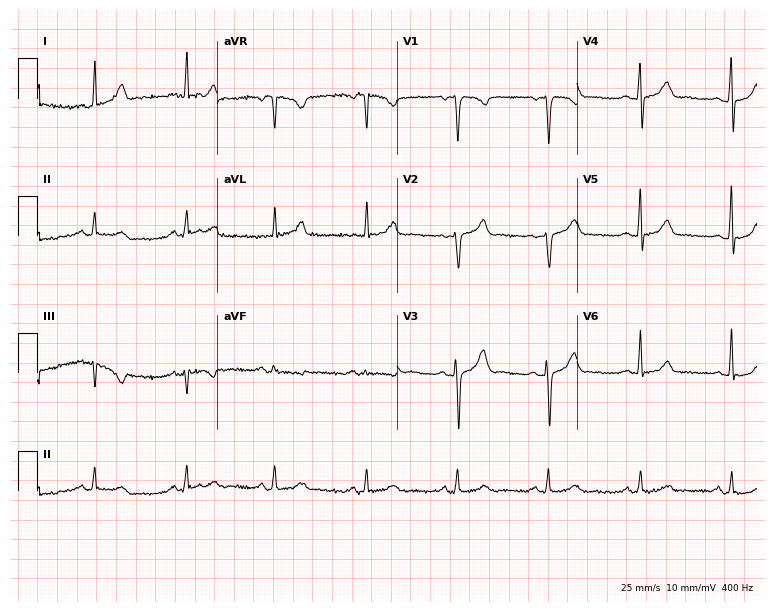
ECG — a female, 48 years old. Labelled as a normal ECG.